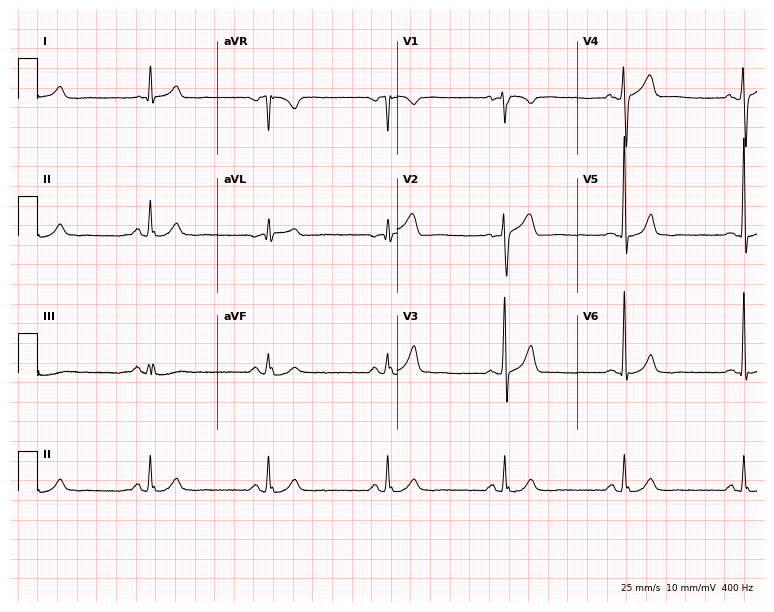
12-lead ECG from a male patient, 73 years old. Recorded interpretation: within normal limits.